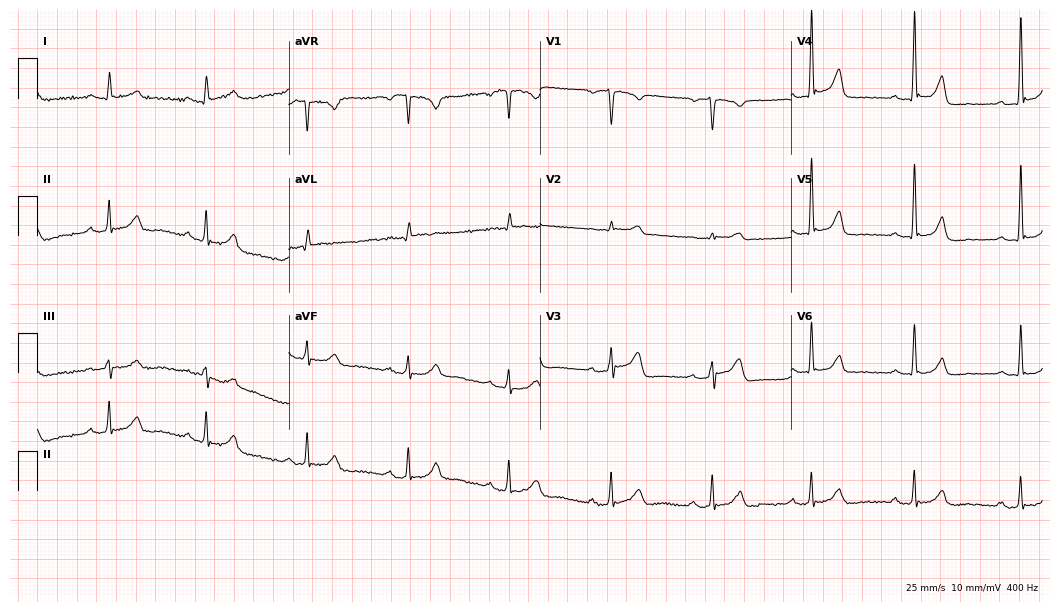
ECG (10.2-second recording at 400 Hz) — a 60-year-old man. Labelled as a normal ECG.